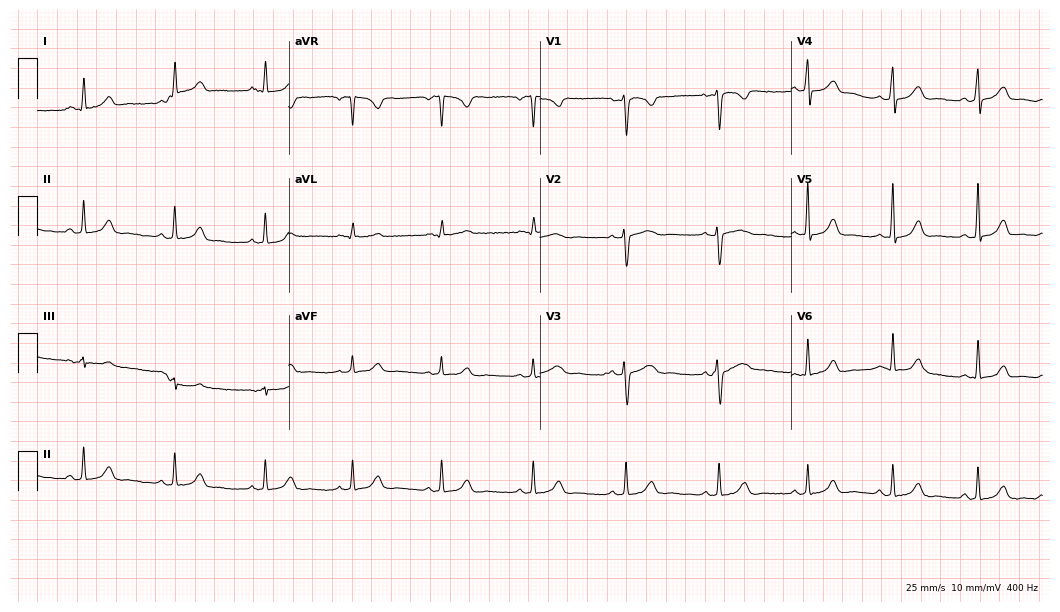
Electrocardiogram, a woman, 28 years old. Overall reading on record: normal ECG.